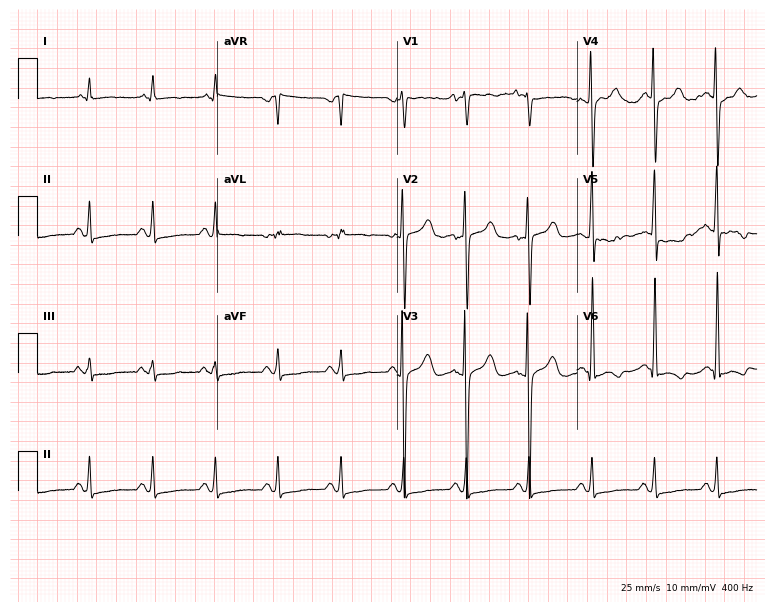
12-lead ECG from a female, 39 years old. No first-degree AV block, right bundle branch block (RBBB), left bundle branch block (LBBB), sinus bradycardia, atrial fibrillation (AF) or sinus tachycardia recorded for this tracing. Findings outside these six are not listed.